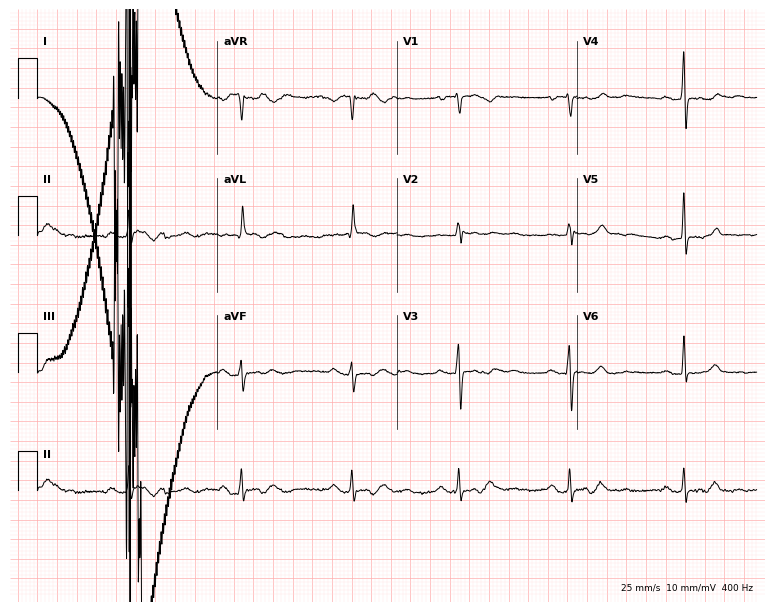
ECG — a female, 66 years old. Screened for six findings — first-degree AV block, right bundle branch block, left bundle branch block, sinus bradycardia, atrial fibrillation, sinus tachycardia — none is recorded.